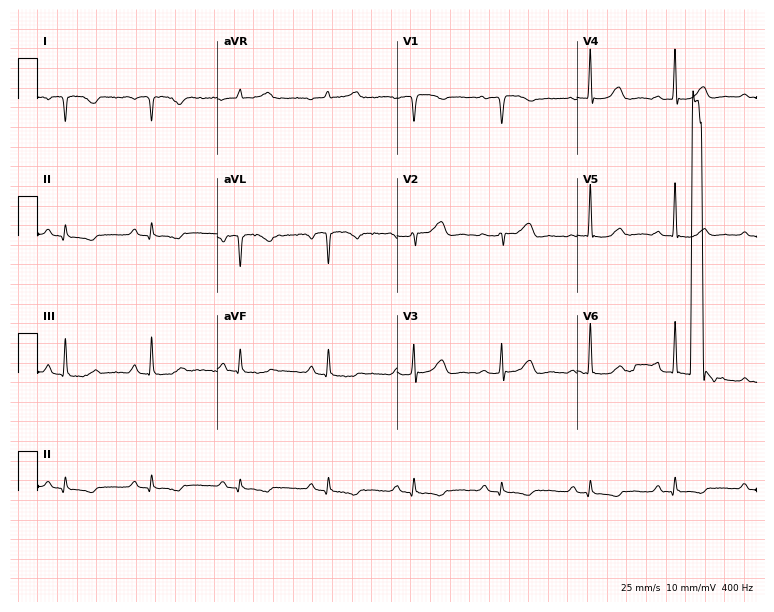
ECG — a 53-year-old female patient. Screened for six findings — first-degree AV block, right bundle branch block, left bundle branch block, sinus bradycardia, atrial fibrillation, sinus tachycardia — none is recorded.